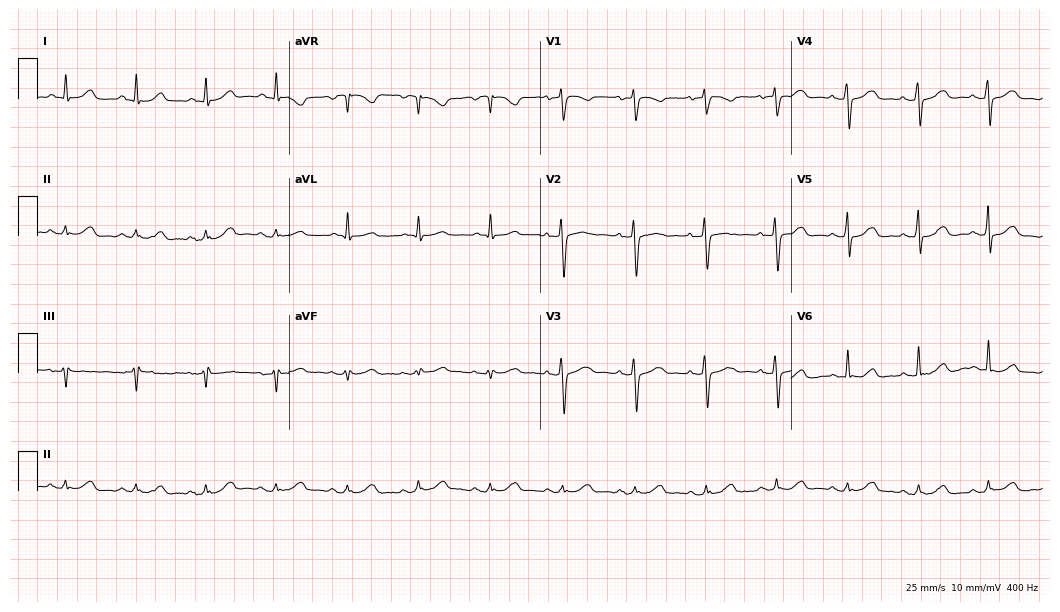
Standard 12-lead ECG recorded from a woman, 69 years old. Read as a normal ECG.